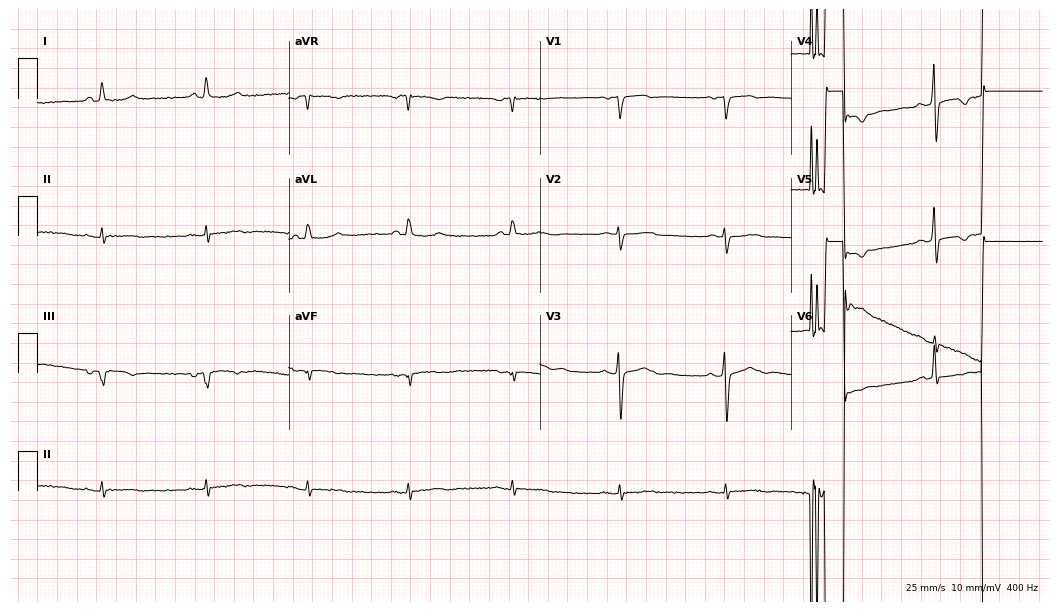
12-lead ECG (10.2-second recording at 400 Hz) from a 66-year-old man. Labelled as a normal ECG.